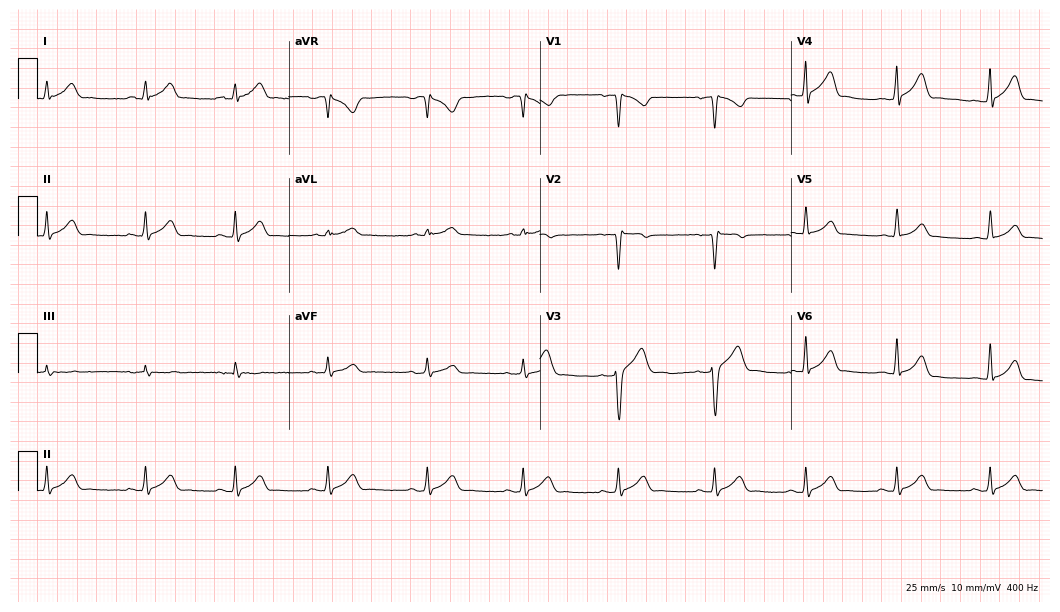
Standard 12-lead ECG recorded from a male patient, 20 years old (10.2-second recording at 400 Hz). Read as a normal ECG.